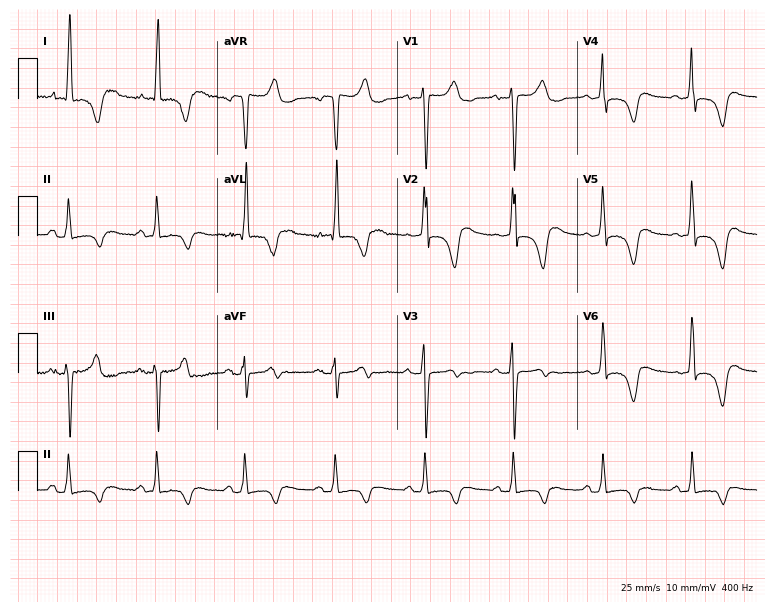
12-lead ECG from a 52-year-old female patient. No first-degree AV block, right bundle branch block, left bundle branch block, sinus bradycardia, atrial fibrillation or sinus tachycardia recorded for this tracing. Findings outside these six are not listed.